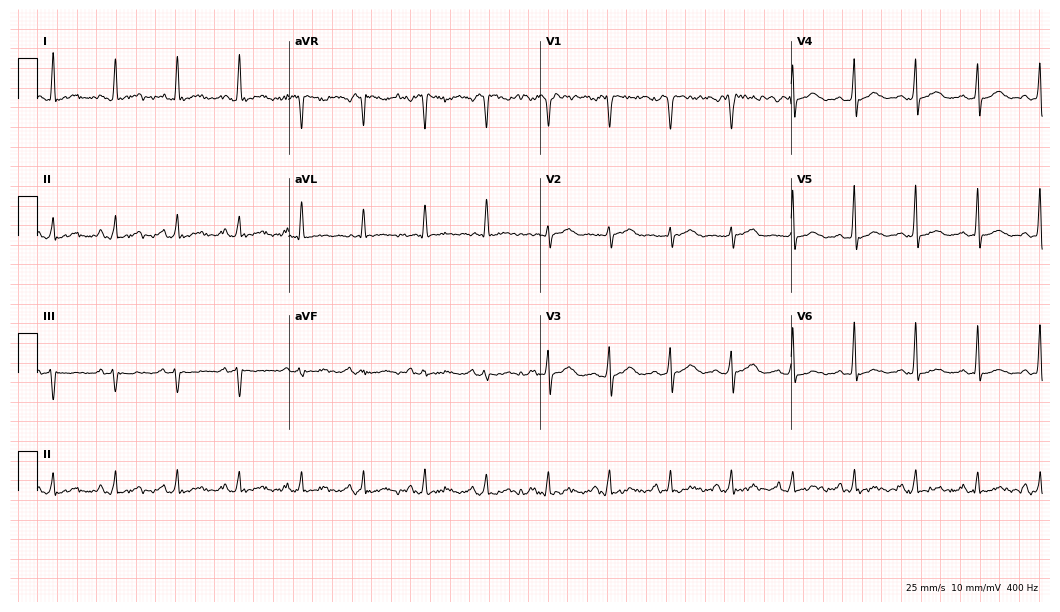
Standard 12-lead ECG recorded from a male patient, 50 years old (10.2-second recording at 400 Hz). None of these six findings is recorded: first-degree AV block, right bundle branch block, left bundle branch block, sinus bradycardia, atrial fibrillation, sinus tachycardia.